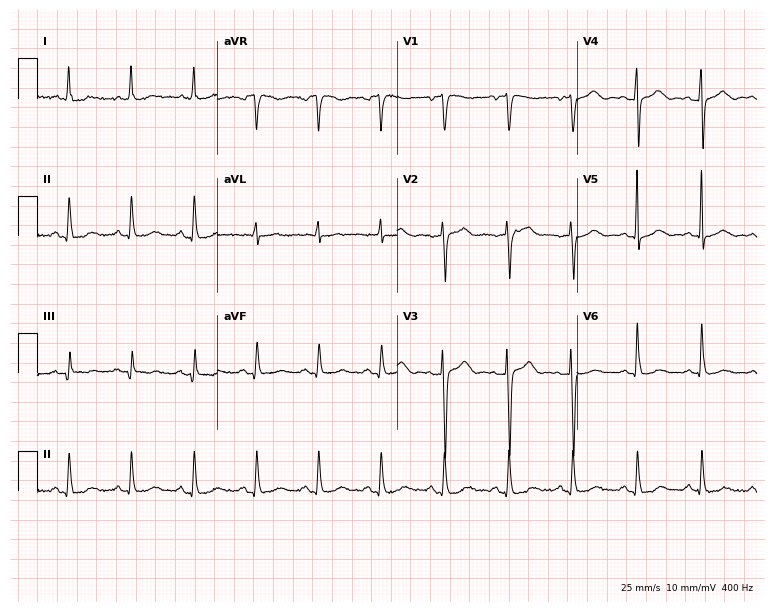
12-lead ECG from a female patient, 71 years old. No first-degree AV block, right bundle branch block (RBBB), left bundle branch block (LBBB), sinus bradycardia, atrial fibrillation (AF) or sinus tachycardia recorded for this tracing.